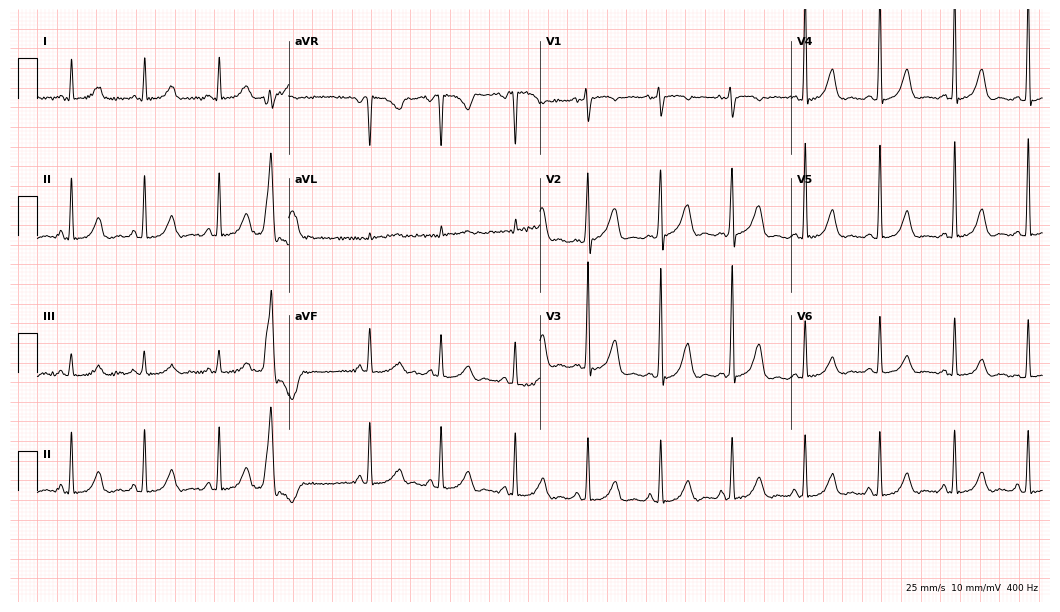
12-lead ECG (10.2-second recording at 400 Hz) from a 58-year-old female. Screened for six findings — first-degree AV block, right bundle branch block, left bundle branch block, sinus bradycardia, atrial fibrillation, sinus tachycardia — none is recorded.